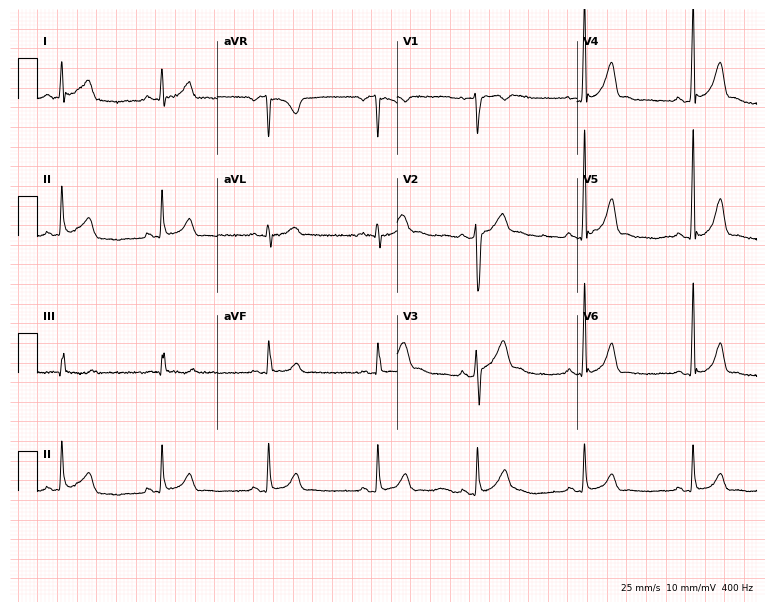
Electrocardiogram (7.3-second recording at 400 Hz), a 20-year-old male. Overall reading on record: normal ECG.